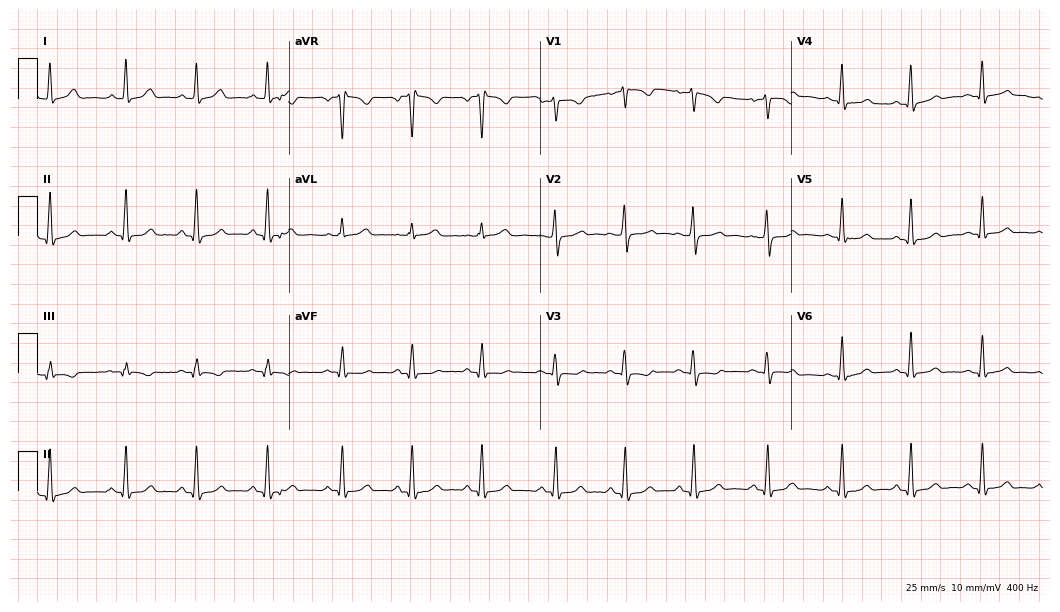
12-lead ECG from a 31-year-old female. Recorded interpretation: within normal limits.